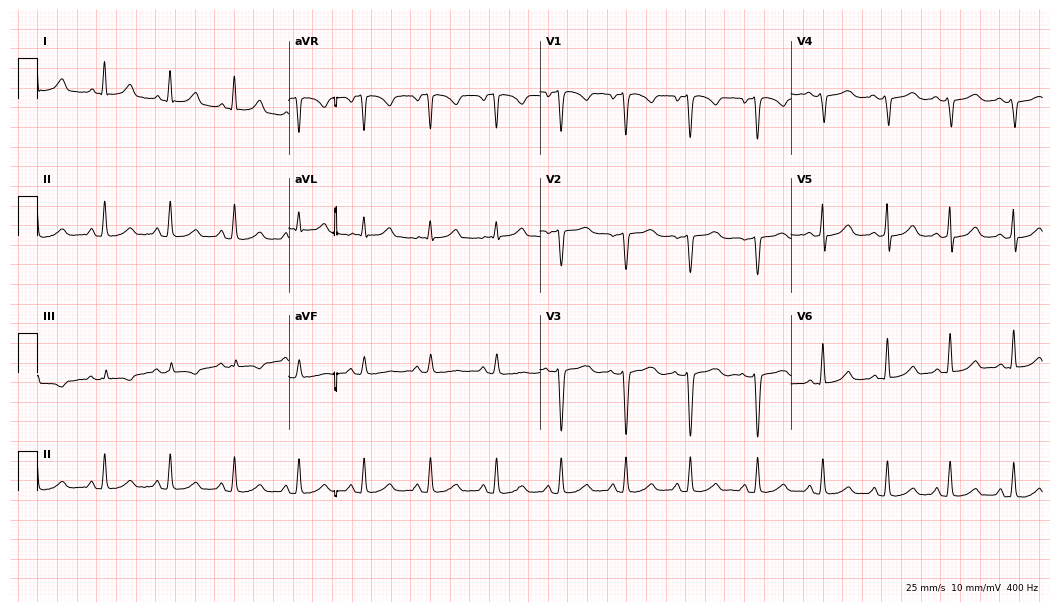
Electrocardiogram, a 38-year-old female patient. Overall reading on record: normal ECG.